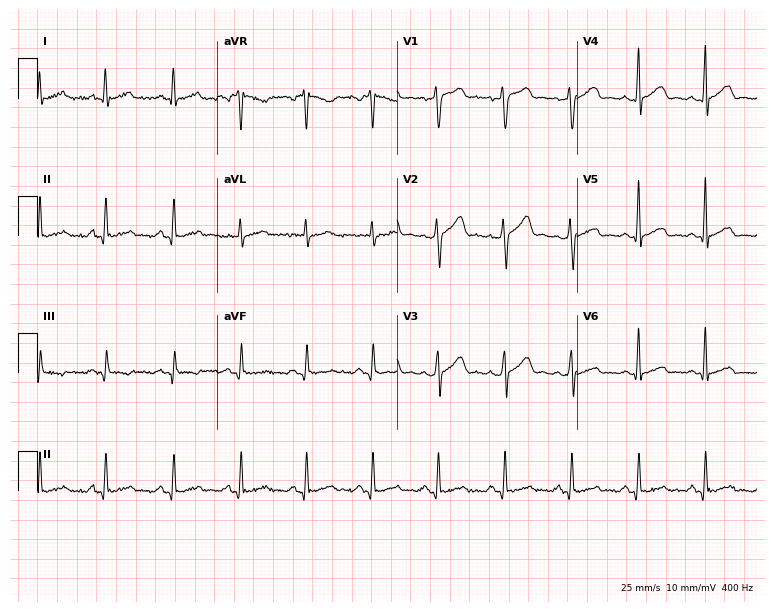
Electrocardiogram (7.3-second recording at 400 Hz), a 55-year-old male. Of the six screened findings (first-degree AV block, right bundle branch block, left bundle branch block, sinus bradycardia, atrial fibrillation, sinus tachycardia), none is recorded. Only these six findings were labelled.